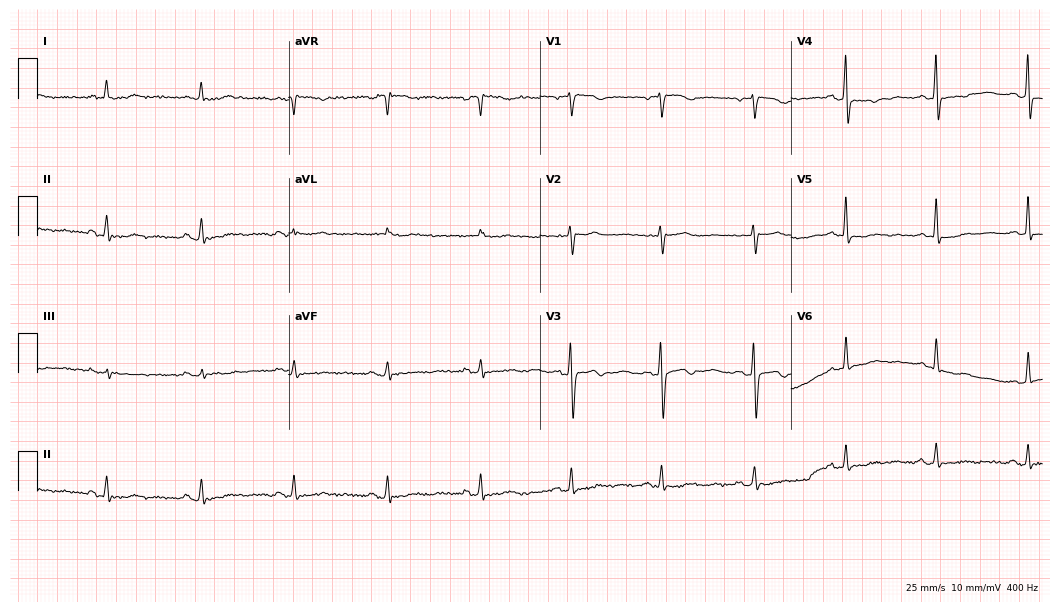
ECG (10.2-second recording at 400 Hz) — a 72-year-old female patient. Screened for six findings — first-degree AV block, right bundle branch block (RBBB), left bundle branch block (LBBB), sinus bradycardia, atrial fibrillation (AF), sinus tachycardia — none is recorded.